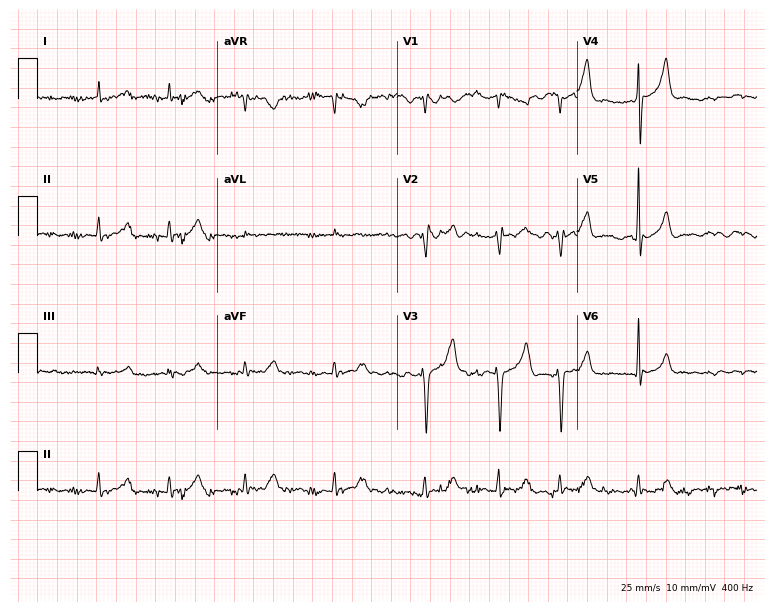
Electrocardiogram (7.3-second recording at 400 Hz), a 76-year-old man. Interpretation includes atrial fibrillation (AF).